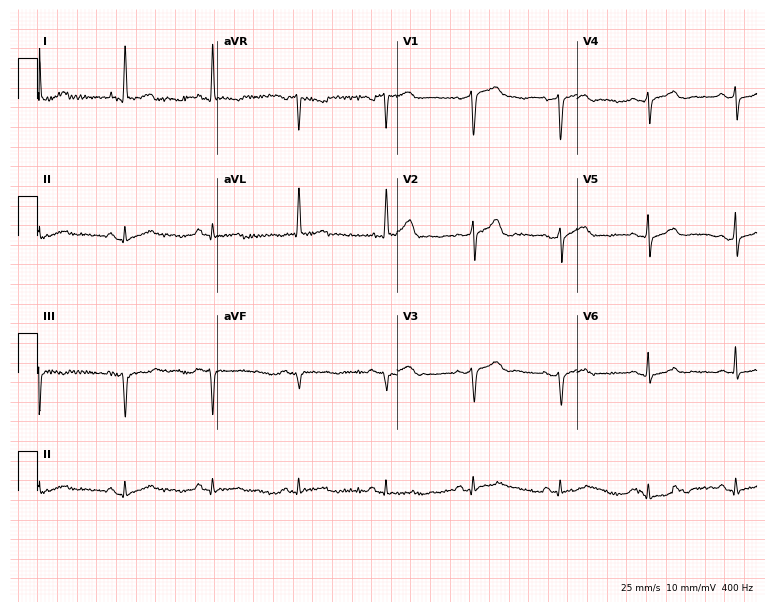
12-lead ECG from a 71-year-old female patient. Screened for six findings — first-degree AV block, right bundle branch block, left bundle branch block, sinus bradycardia, atrial fibrillation, sinus tachycardia — none is recorded.